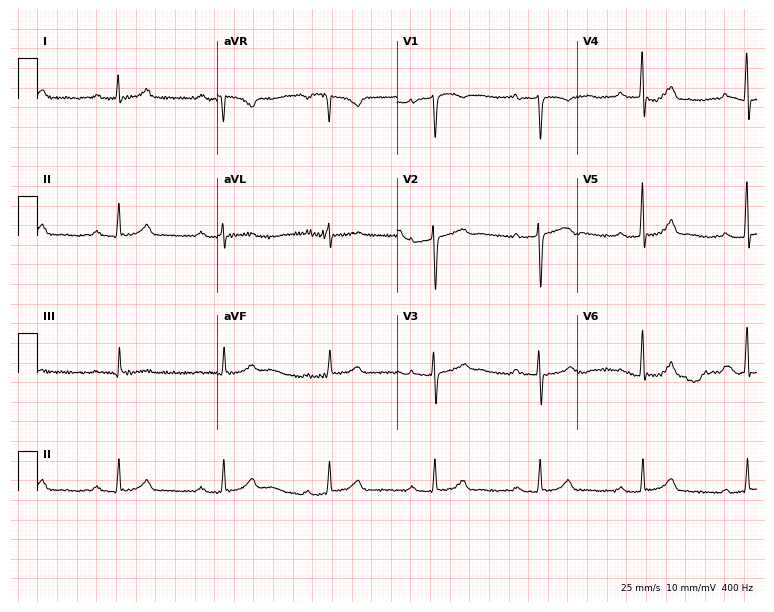
12-lead ECG (7.3-second recording at 400 Hz) from a 60-year-old female patient. Findings include first-degree AV block.